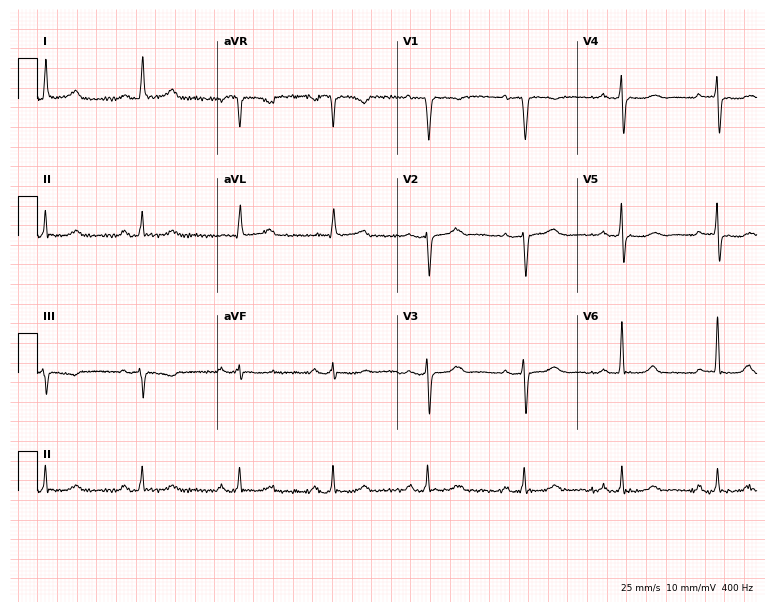
Resting 12-lead electrocardiogram. Patient: a 64-year-old female. Read as a normal ECG.